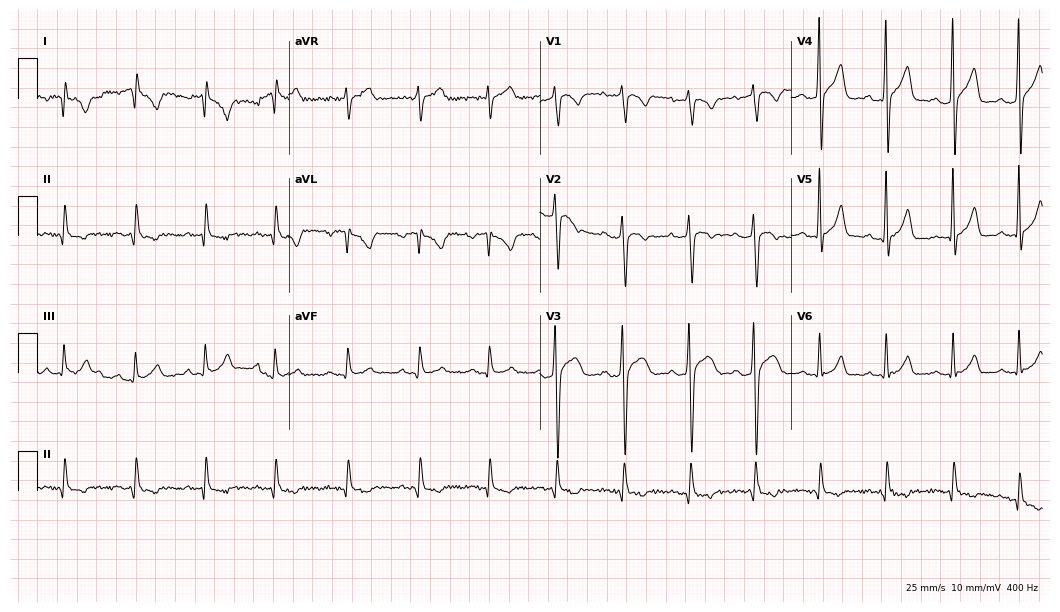
Electrocardiogram, a 24-year-old male patient. Of the six screened findings (first-degree AV block, right bundle branch block, left bundle branch block, sinus bradycardia, atrial fibrillation, sinus tachycardia), none is recorded.